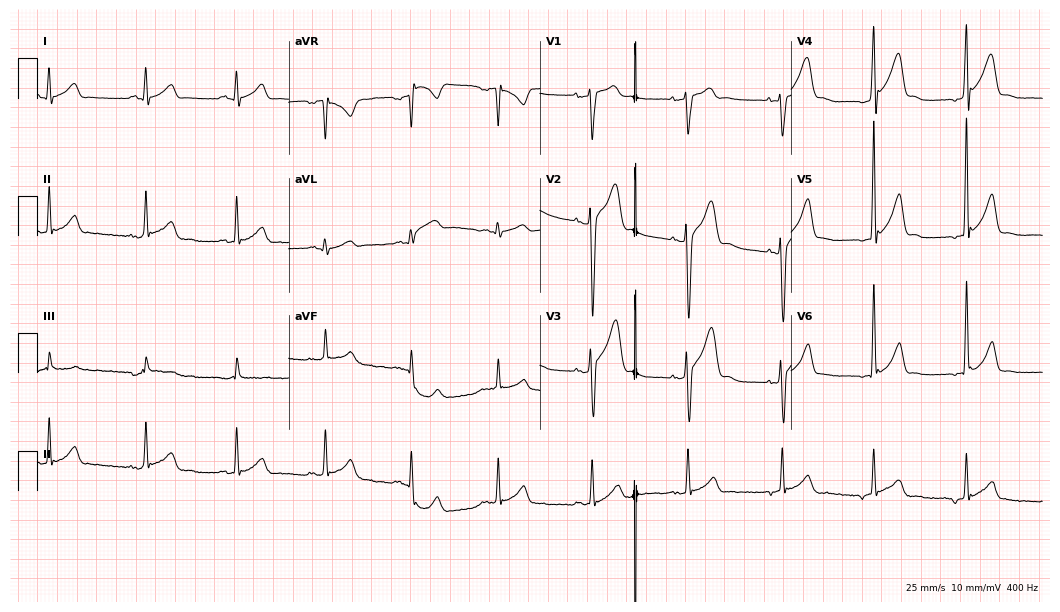
ECG (10.2-second recording at 400 Hz) — a 21-year-old male. Screened for six findings — first-degree AV block, right bundle branch block, left bundle branch block, sinus bradycardia, atrial fibrillation, sinus tachycardia — none is recorded. Findings outside these six are not listed.